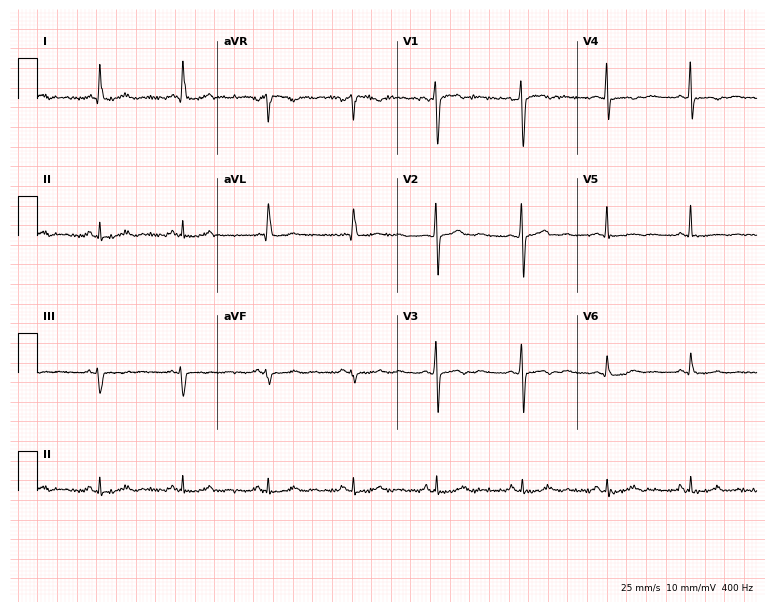
12-lead ECG from a female, 49 years old. Screened for six findings — first-degree AV block, right bundle branch block (RBBB), left bundle branch block (LBBB), sinus bradycardia, atrial fibrillation (AF), sinus tachycardia — none is recorded.